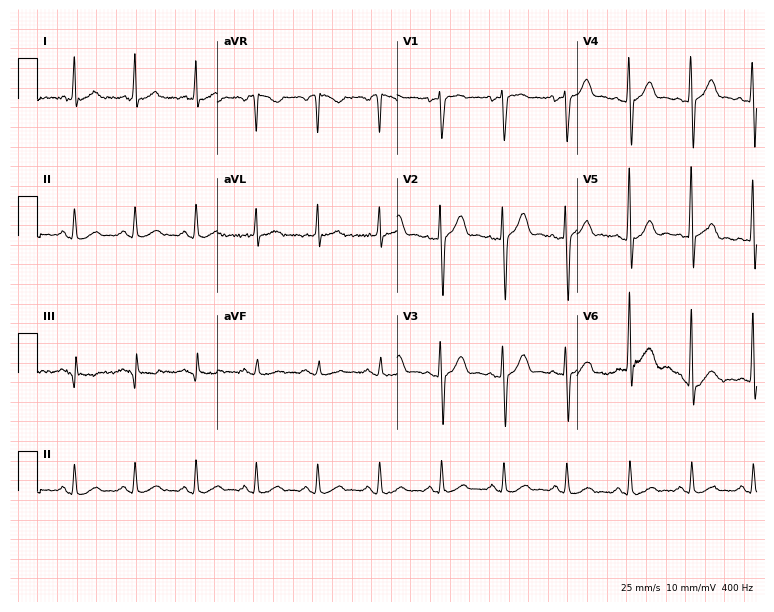
Electrocardiogram (7.3-second recording at 400 Hz), a 44-year-old man. Overall reading on record: normal ECG.